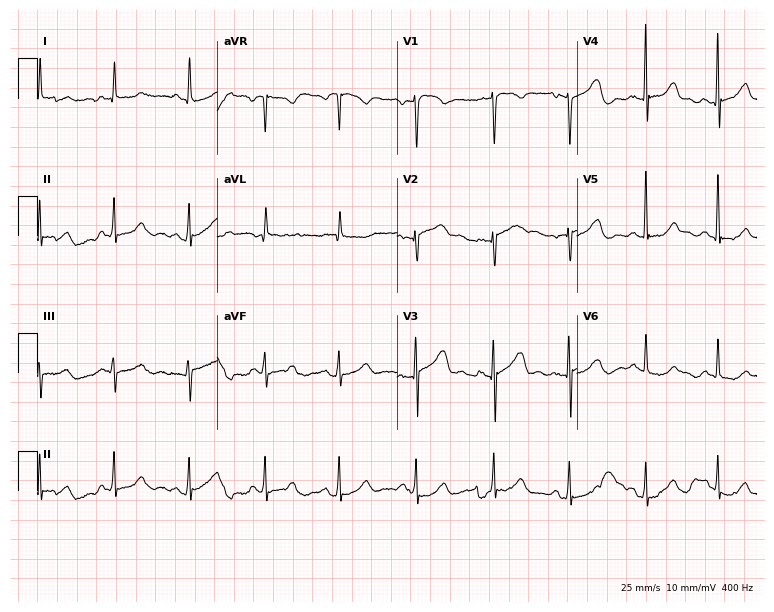
Standard 12-lead ECG recorded from a 68-year-old woman (7.3-second recording at 400 Hz). None of these six findings is recorded: first-degree AV block, right bundle branch block, left bundle branch block, sinus bradycardia, atrial fibrillation, sinus tachycardia.